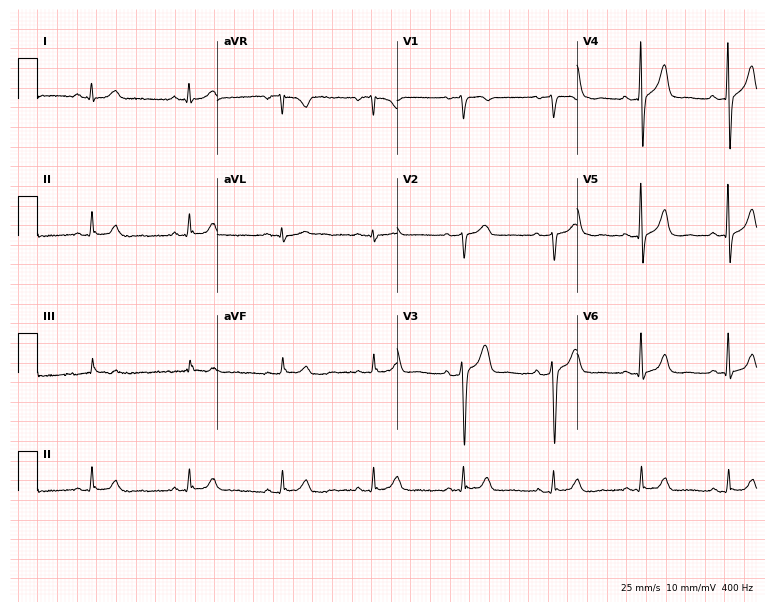
12-lead ECG from a male, 74 years old. Screened for six findings — first-degree AV block, right bundle branch block, left bundle branch block, sinus bradycardia, atrial fibrillation, sinus tachycardia — none is recorded. Other findings, if any, are not listed.